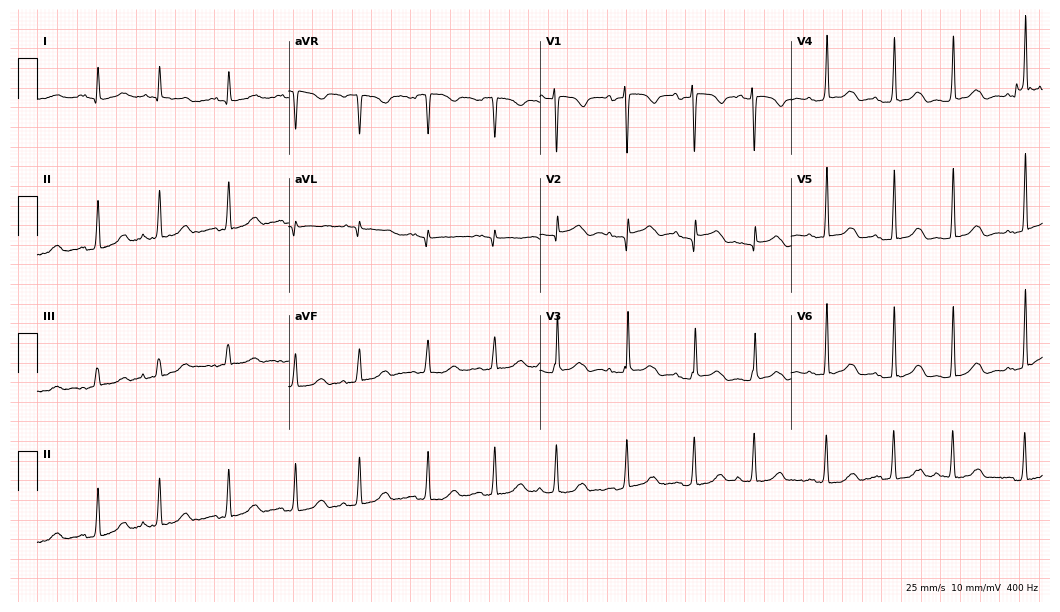
ECG (10.2-second recording at 400 Hz) — a woman, 35 years old. Screened for six findings — first-degree AV block, right bundle branch block, left bundle branch block, sinus bradycardia, atrial fibrillation, sinus tachycardia — none is recorded.